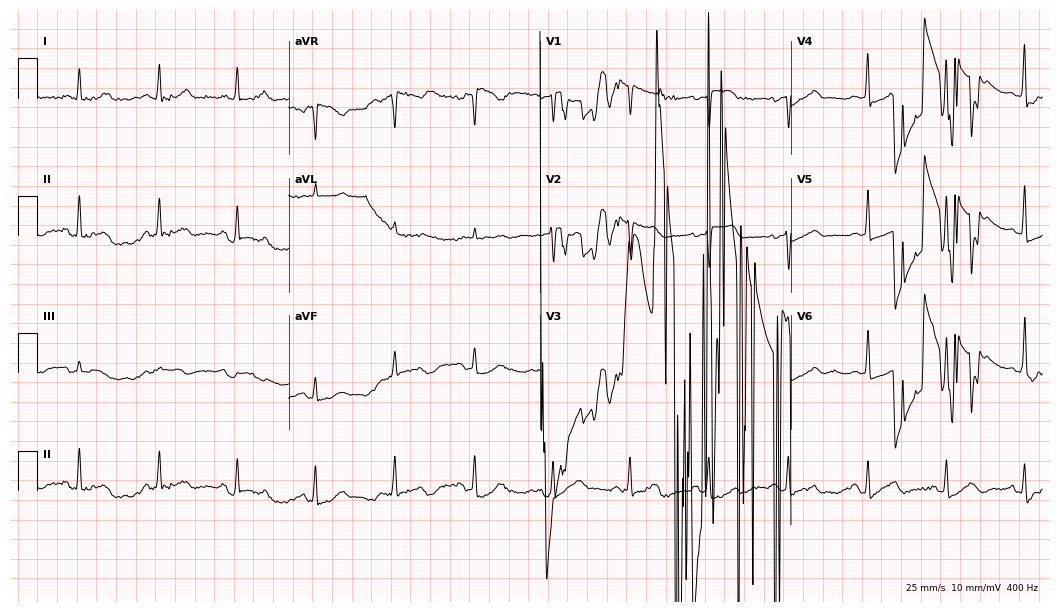
Electrocardiogram (10.2-second recording at 400 Hz), a 57-year-old female. Of the six screened findings (first-degree AV block, right bundle branch block (RBBB), left bundle branch block (LBBB), sinus bradycardia, atrial fibrillation (AF), sinus tachycardia), none is recorded. Only these six findings were labelled.